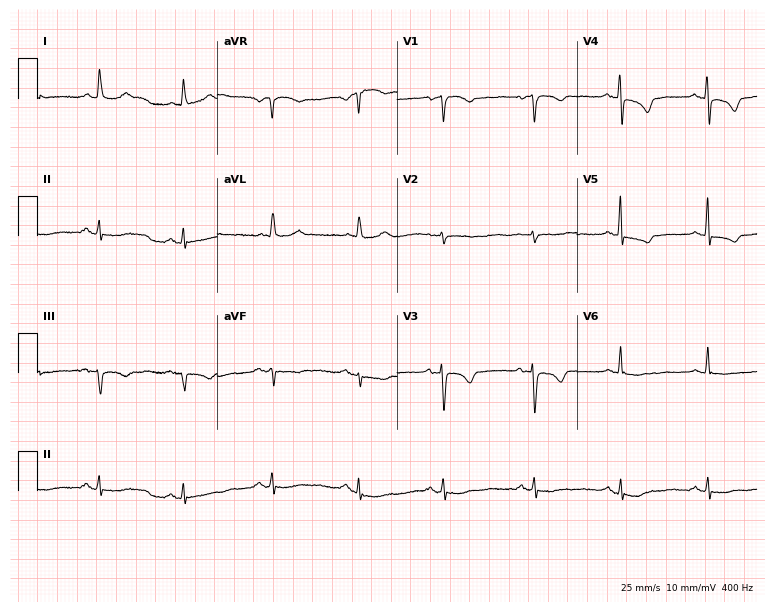
ECG (7.3-second recording at 400 Hz) — an 82-year-old female patient. Screened for six findings — first-degree AV block, right bundle branch block, left bundle branch block, sinus bradycardia, atrial fibrillation, sinus tachycardia — none is recorded.